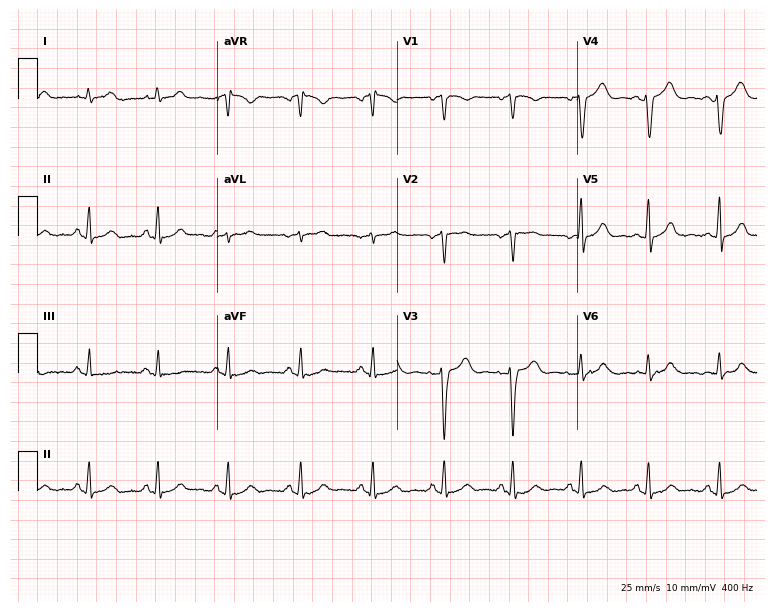
Electrocardiogram (7.3-second recording at 400 Hz), a female patient, 32 years old. Overall reading on record: normal ECG.